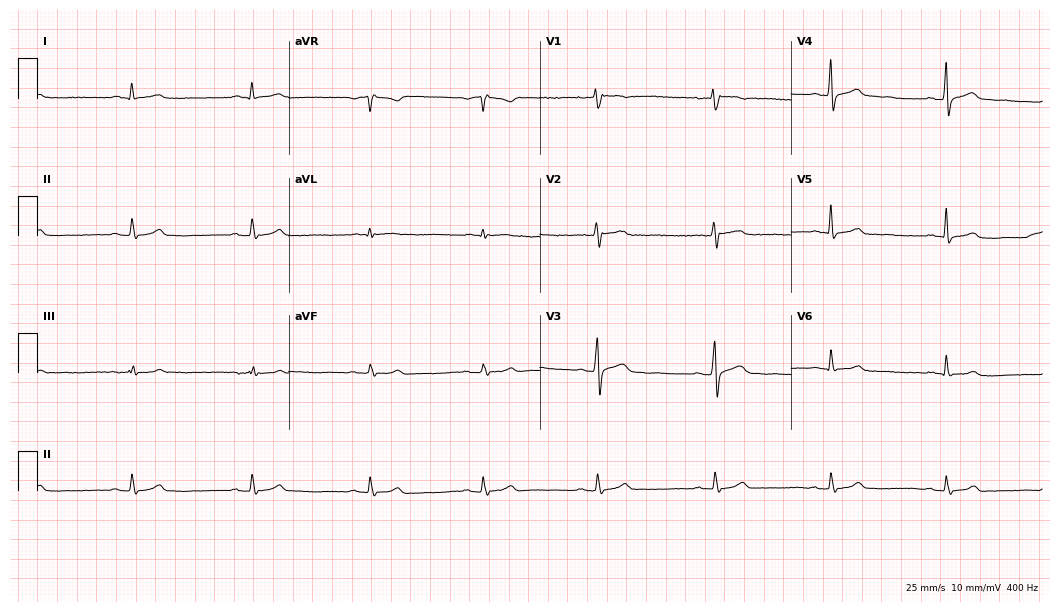
Electrocardiogram (10.2-second recording at 400 Hz), a 43-year-old male. Of the six screened findings (first-degree AV block, right bundle branch block, left bundle branch block, sinus bradycardia, atrial fibrillation, sinus tachycardia), none is recorded.